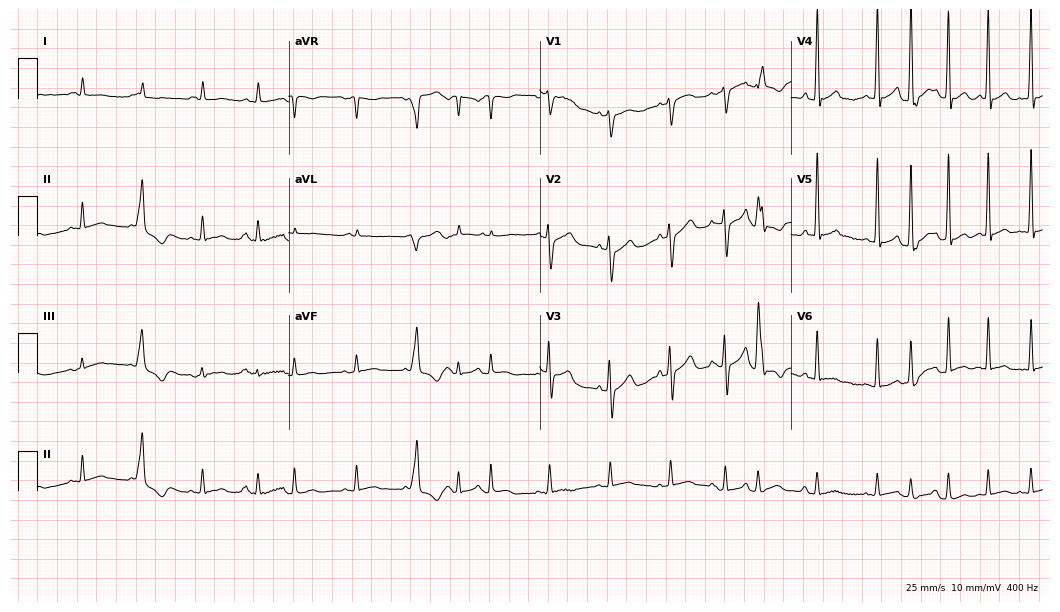
Resting 12-lead electrocardiogram. Patient: a 78-year-old male. The tracing shows sinus tachycardia (a sinus rate of 100 beats per minute or more).